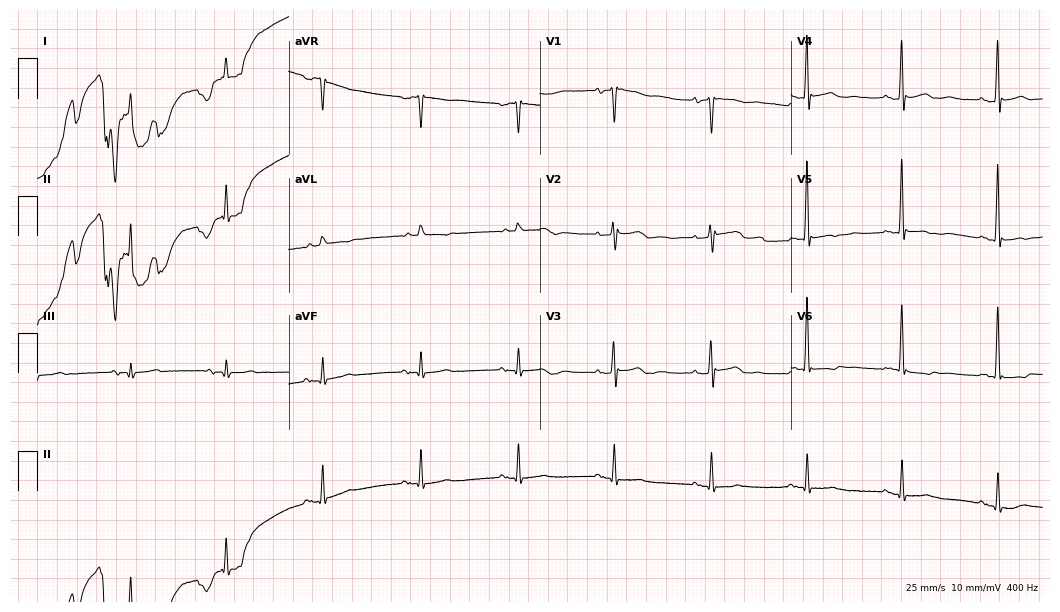
12-lead ECG from a male patient, 85 years old (10.2-second recording at 400 Hz). No first-degree AV block, right bundle branch block (RBBB), left bundle branch block (LBBB), sinus bradycardia, atrial fibrillation (AF) or sinus tachycardia recorded for this tracing.